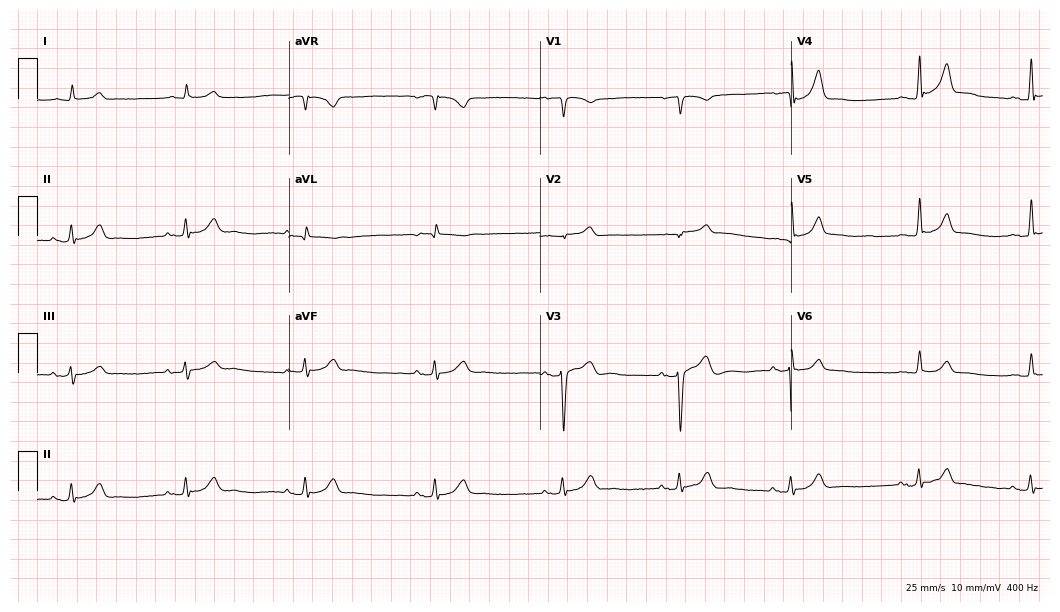
Resting 12-lead electrocardiogram (10.2-second recording at 400 Hz). Patient: a 76-year-old male. Read as a normal ECG.